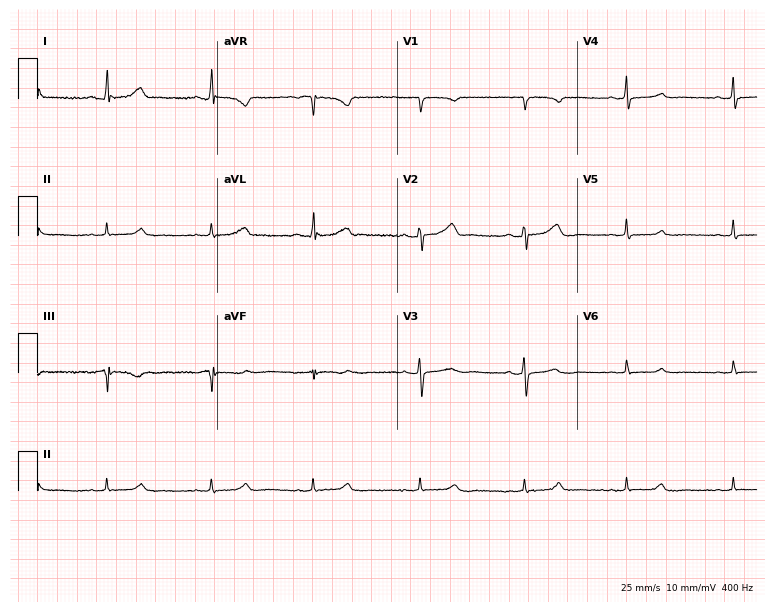
12-lead ECG from a 50-year-old female (7.3-second recording at 400 Hz). Recorded interpretation: within normal limits.